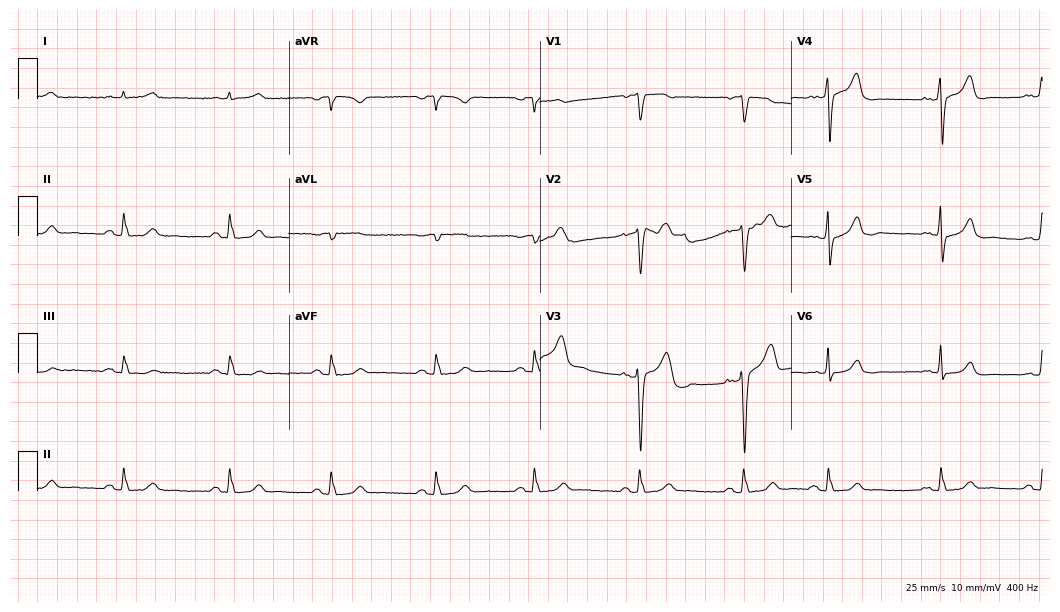
ECG (10.2-second recording at 400 Hz) — a 75-year-old man. Labelled as a normal ECG.